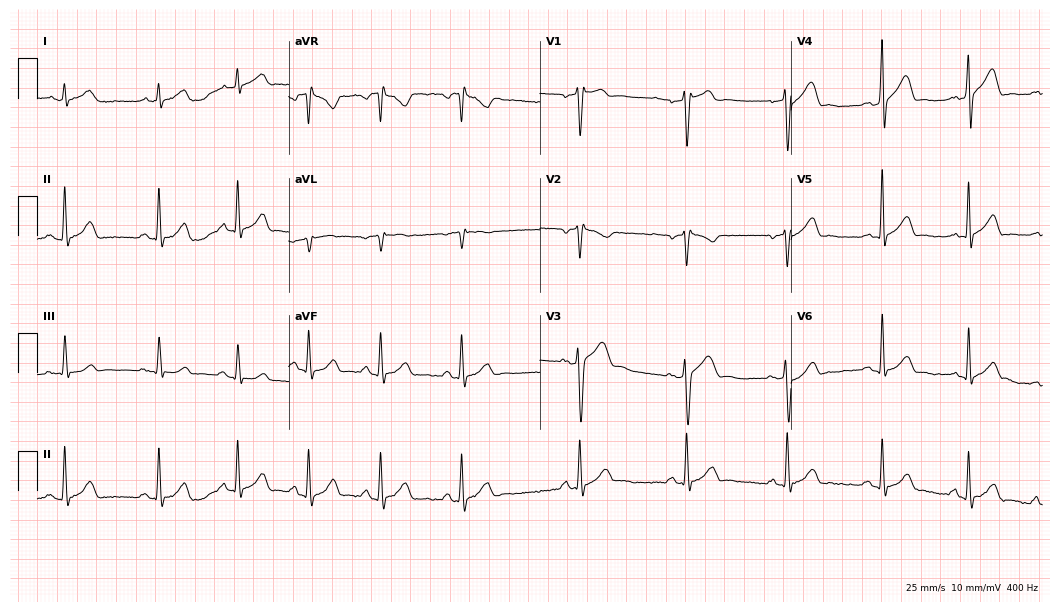
12-lead ECG from a male, 27 years old. Labelled as a normal ECG.